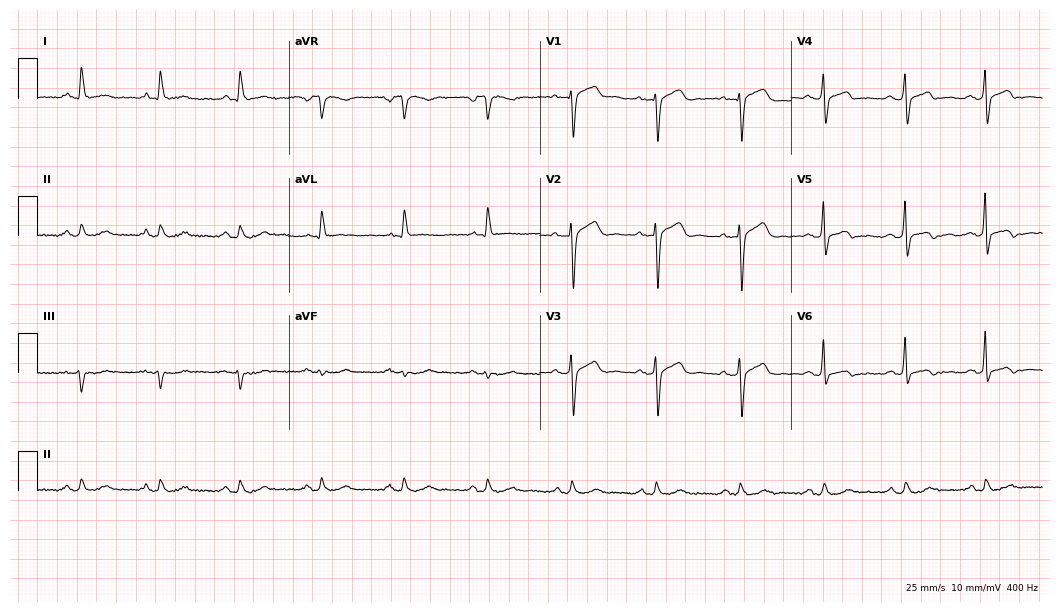
Resting 12-lead electrocardiogram. Patient: a 72-year-old male. None of these six findings is recorded: first-degree AV block, right bundle branch block, left bundle branch block, sinus bradycardia, atrial fibrillation, sinus tachycardia. Only these six findings were labelled.